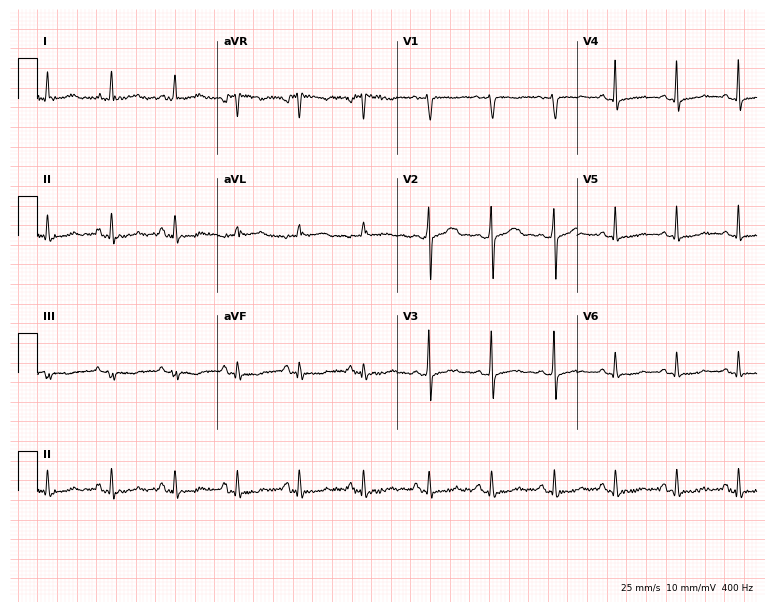
Standard 12-lead ECG recorded from a 39-year-old woman (7.3-second recording at 400 Hz). Read as a normal ECG.